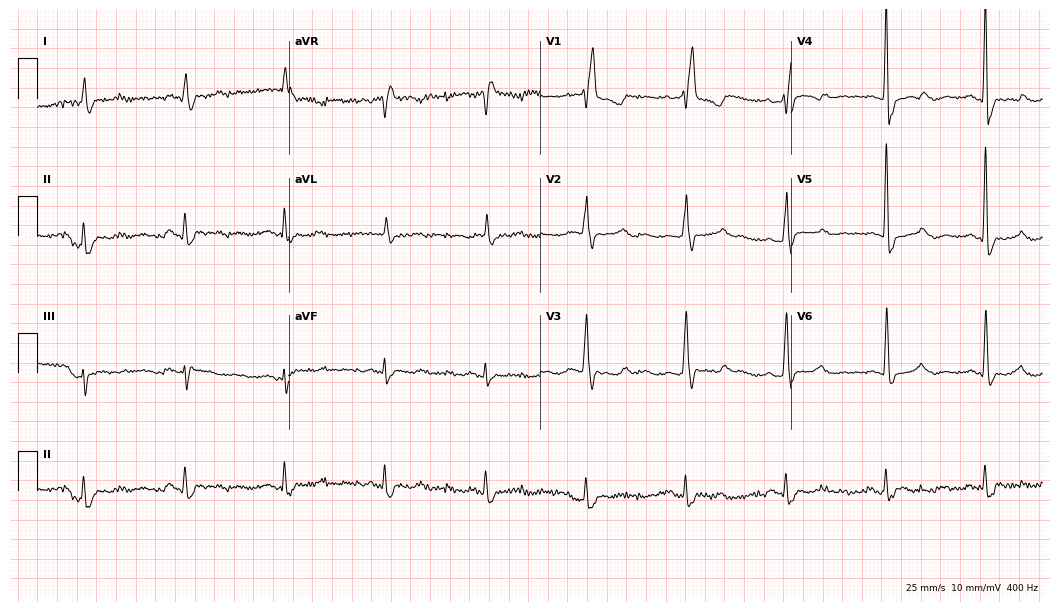
Electrocardiogram, a 76-year-old male. Of the six screened findings (first-degree AV block, right bundle branch block, left bundle branch block, sinus bradycardia, atrial fibrillation, sinus tachycardia), none is recorded.